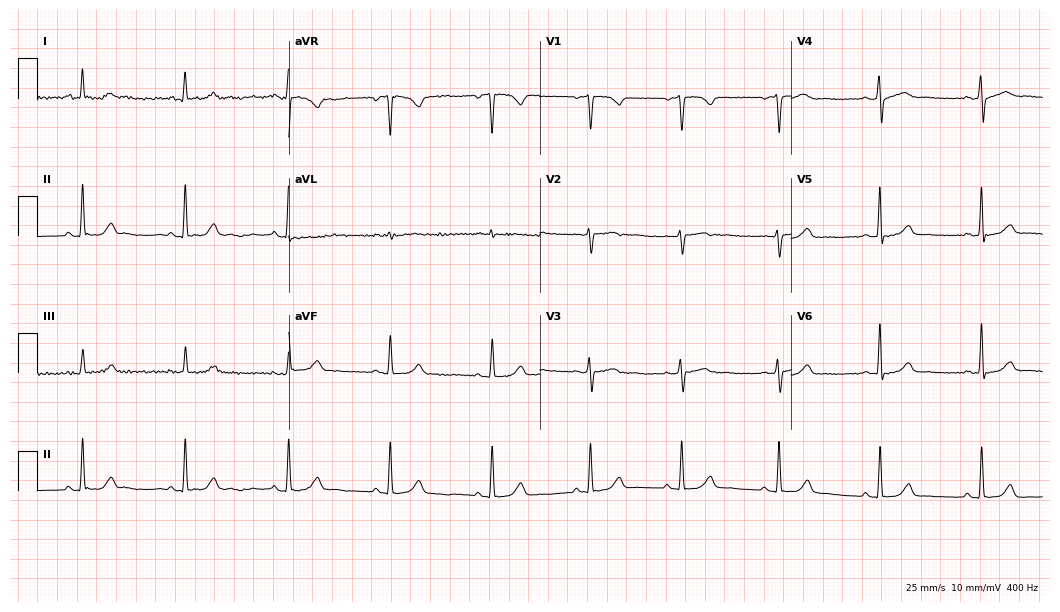
12-lead ECG from a 54-year-old female (10.2-second recording at 400 Hz). No first-degree AV block, right bundle branch block, left bundle branch block, sinus bradycardia, atrial fibrillation or sinus tachycardia recorded for this tracing.